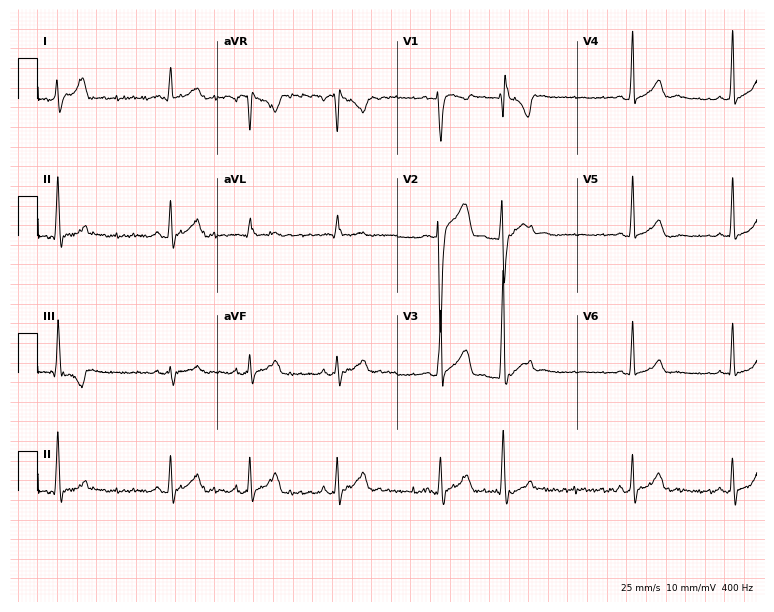
Electrocardiogram, a 22-year-old male patient. Of the six screened findings (first-degree AV block, right bundle branch block (RBBB), left bundle branch block (LBBB), sinus bradycardia, atrial fibrillation (AF), sinus tachycardia), none is recorded. Other findings, if any, are not listed.